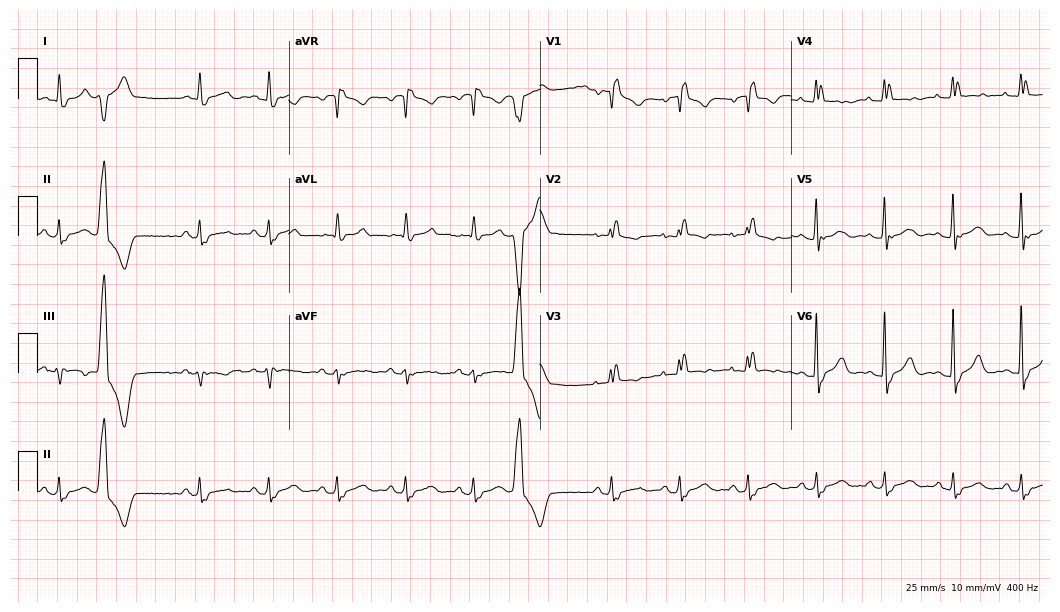
12-lead ECG from a 73-year-old female (10.2-second recording at 400 Hz). No first-degree AV block, right bundle branch block, left bundle branch block, sinus bradycardia, atrial fibrillation or sinus tachycardia recorded for this tracing. Only these six findings were labelled.